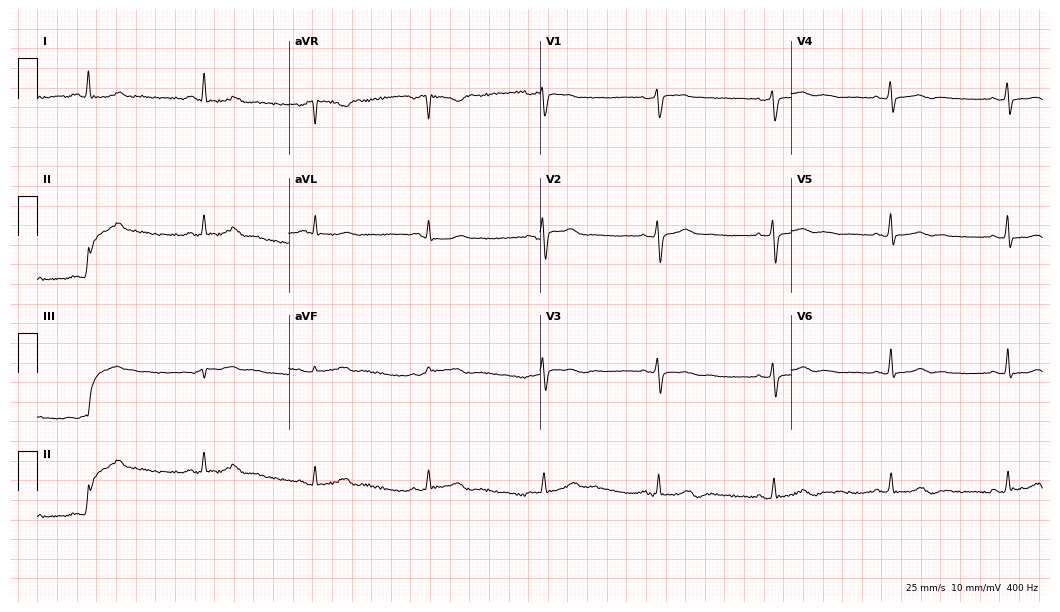
ECG (10.2-second recording at 400 Hz) — a 62-year-old female patient. Screened for six findings — first-degree AV block, right bundle branch block (RBBB), left bundle branch block (LBBB), sinus bradycardia, atrial fibrillation (AF), sinus tachycardia — none is recorded.